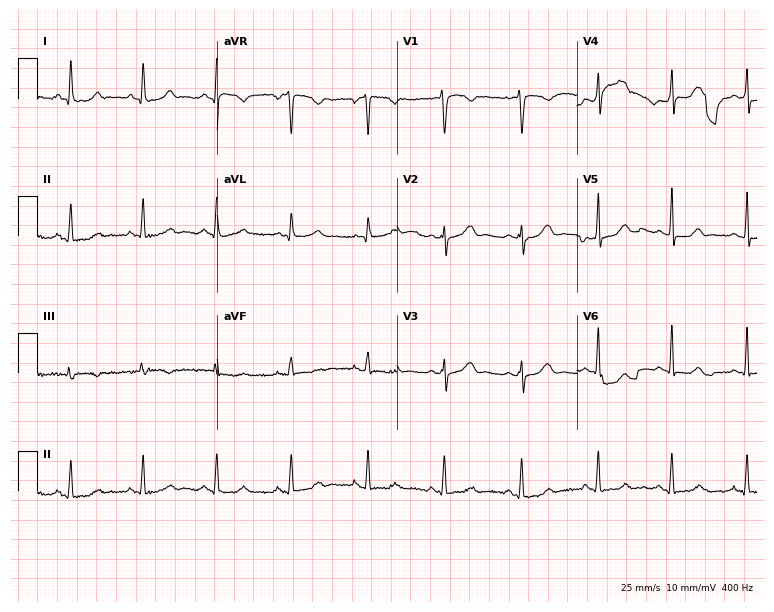
12-lead ECG from a 25-year-old female patient (7.3-second recording at 400 Hz). No first-degree AV block, right bundle branch block, left bundle branch block, sinus bradycardia, atrial fibrillation or sinus tachycardia recorded for this tracing.